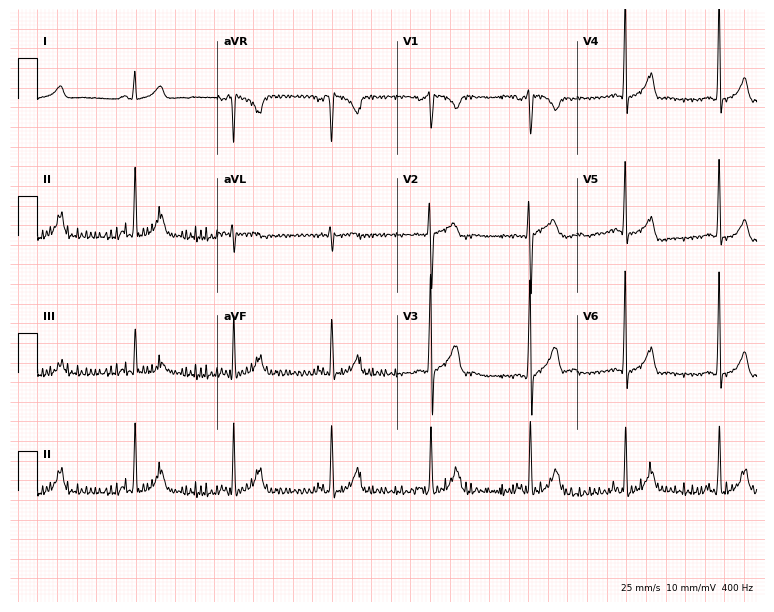
12-lead ECG from a 30-year-old man (7.3-second recording at 400 Hz). No first-degree AV block, right bundle branch block, left bundle branch block, sinus bradycardia, atrial fibrillation or sinus tachycardia recorded for this tracing. Other findings, if any, are not listed.